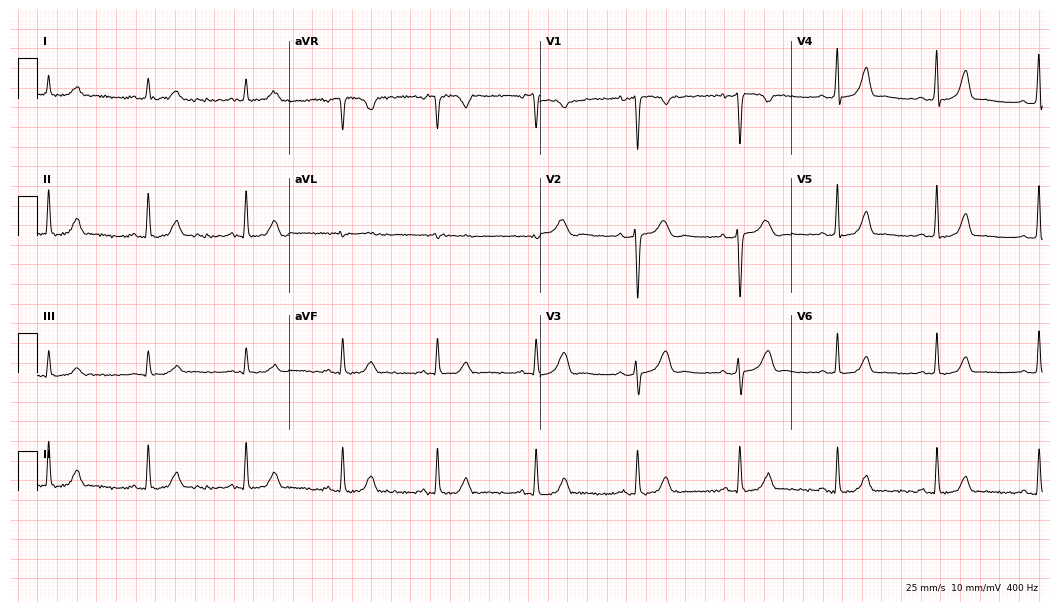
Standard 12-lead ECG recorded from a female, 45 years old. None of these six findings is recorded: first-degree AV block, right bundle branch block (RBBB), left bundle branch block (LBBB), sinus bradycardia, atrial fibrillation (AF), sinus tachycardia. Only these six findings were labelled.